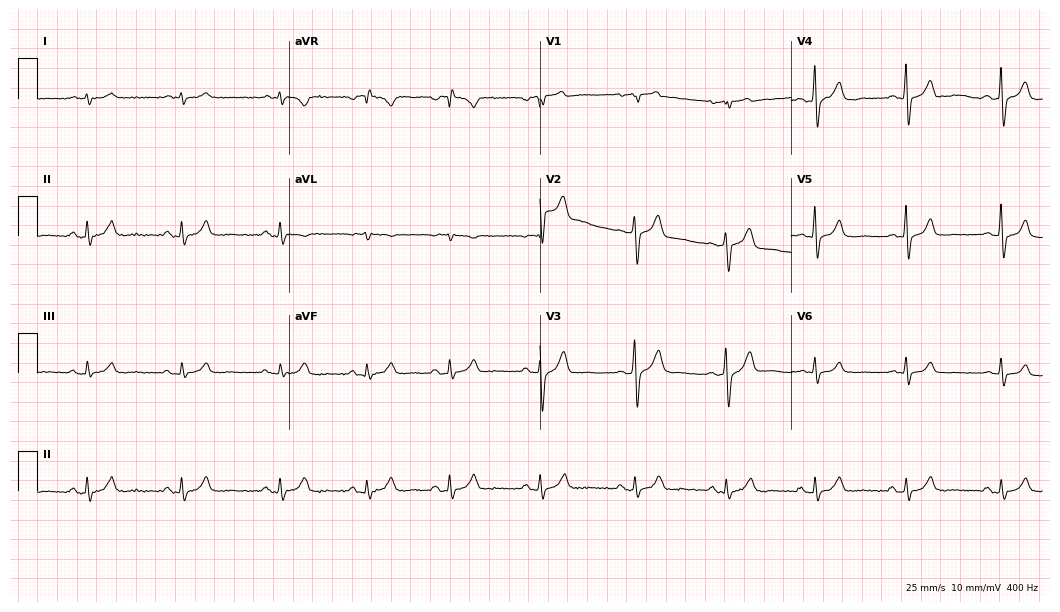
Standard 12-lead ECG recorded from a 56-year-old man (10.2-second recording at 400 Hz). None of these six findings is recorded: first-degree AV block, right bundle branch block, left bundle branch block, sinus bradycardia, atrial fibrillation, sinus tachycardia.